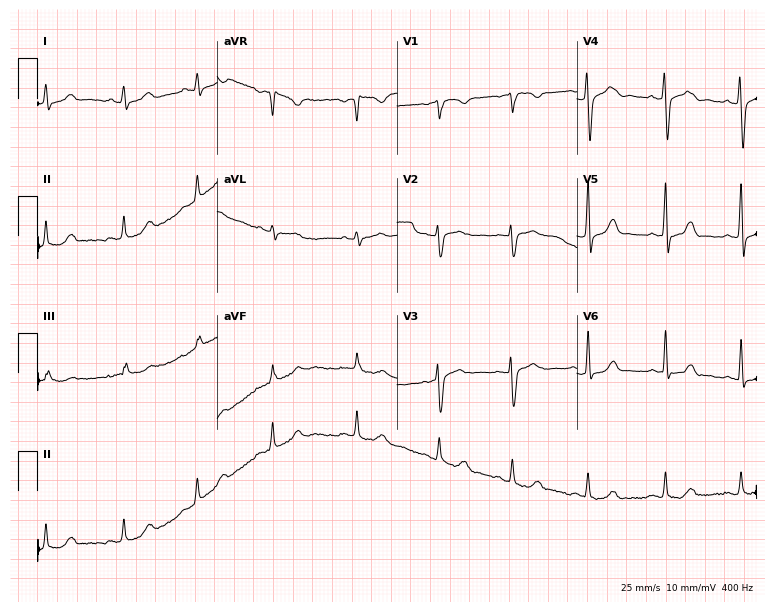
Electrocardiogram, a 29-year-old female. Of the six screened findings (first-degree AV block, right bundle branch block, left bundle branch block, sinus bradycardia, atrial fibrillation, sinus tachycardia), none is recorded. Other findings, if any, are not listed.